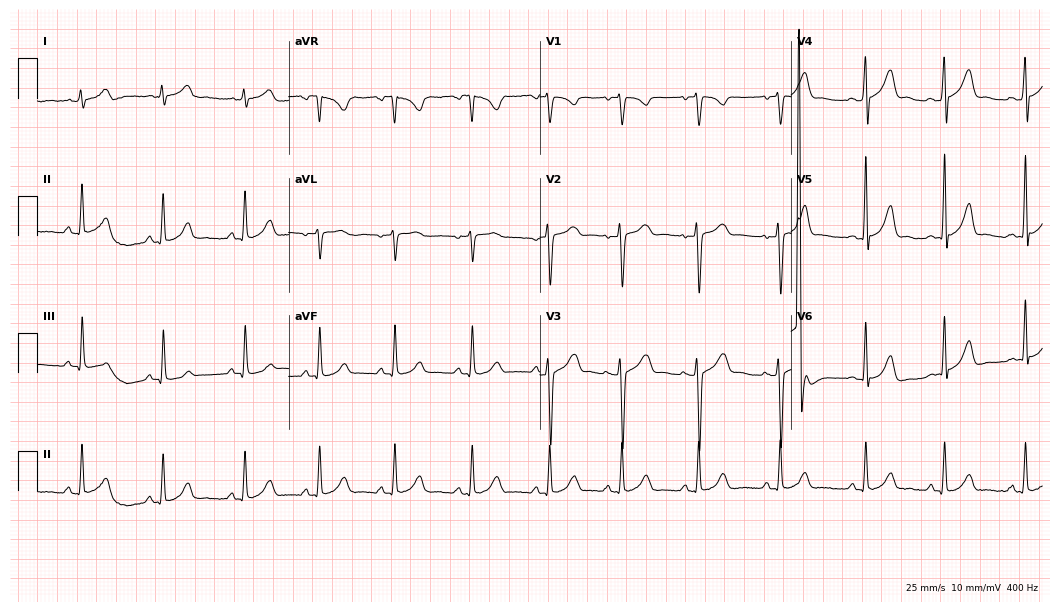
Resting 12-lead electrocardiogram. Patient: a woman, 19 years old. Read as a normal ECG.